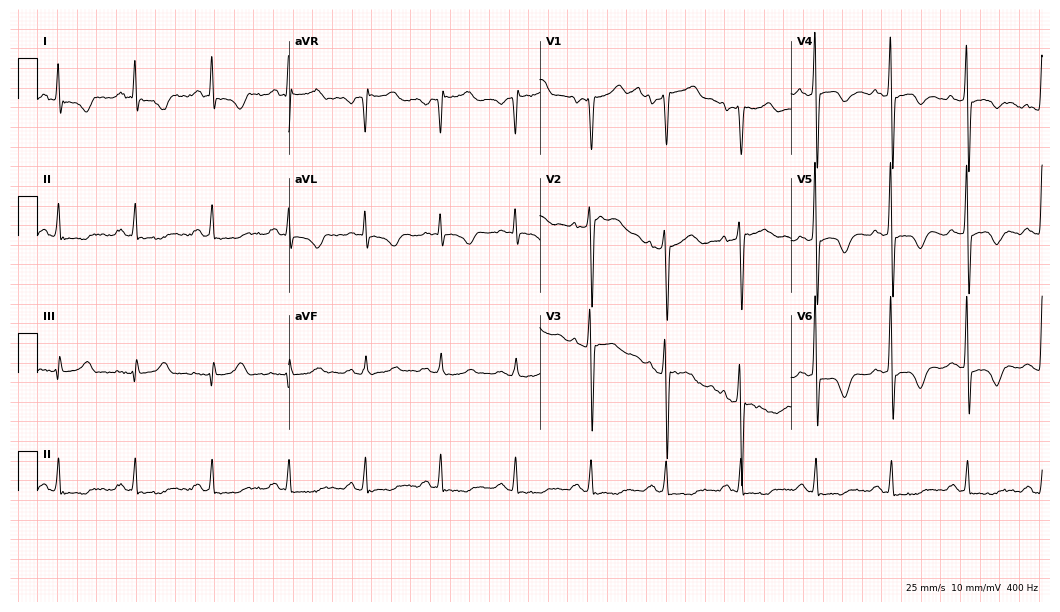
Resting 12-lead electrocardiogram (10.2-second recording at 400 Hz). Patient: a 56-year-old male. None of these six findings is recorded: first-degree AV block, right bundle branch block, left bundle branch block, sinus bradycardia, atrial fibrillation, sinus tachycardia.